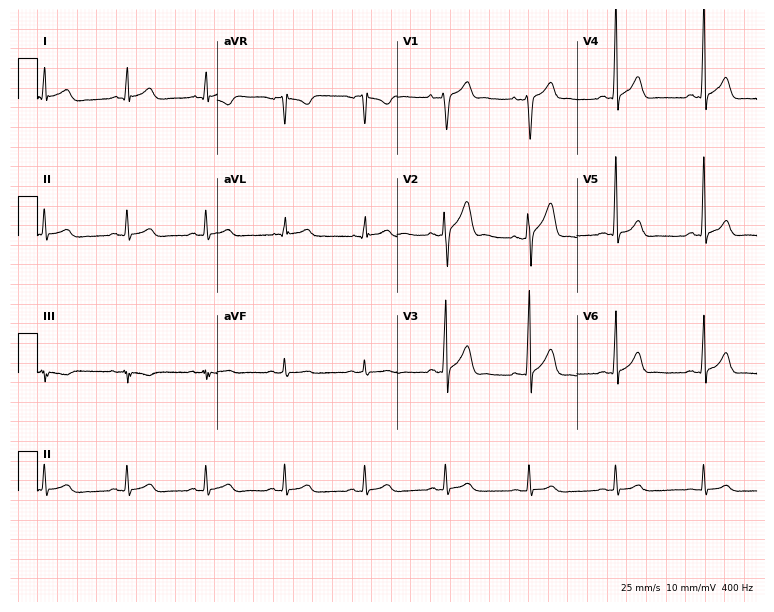
Resting 12-lead electrocardiogram (7.3-second recording at 400 Hz). Patient: a 27-year-old male. Read as a normal ECG.